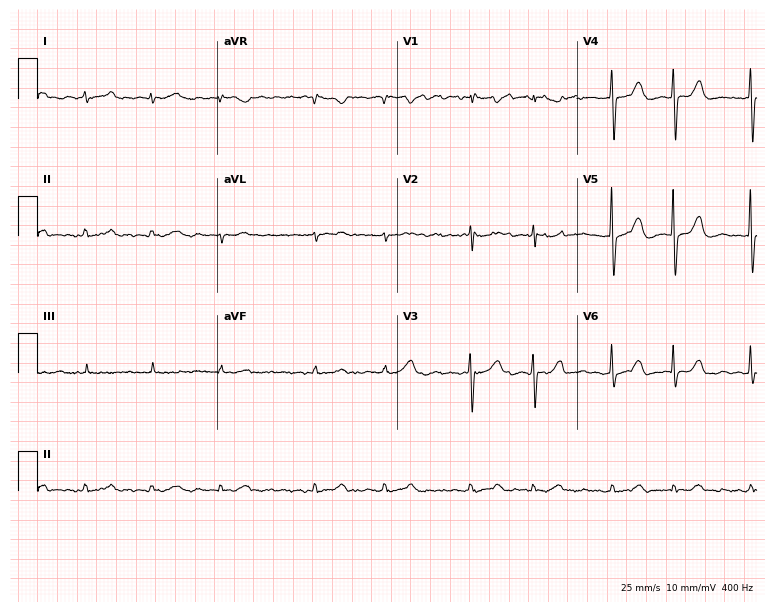
Standard 12-lead ECG recorded from a female patient, 85 years old. The tracing shows atrial fibrillation.